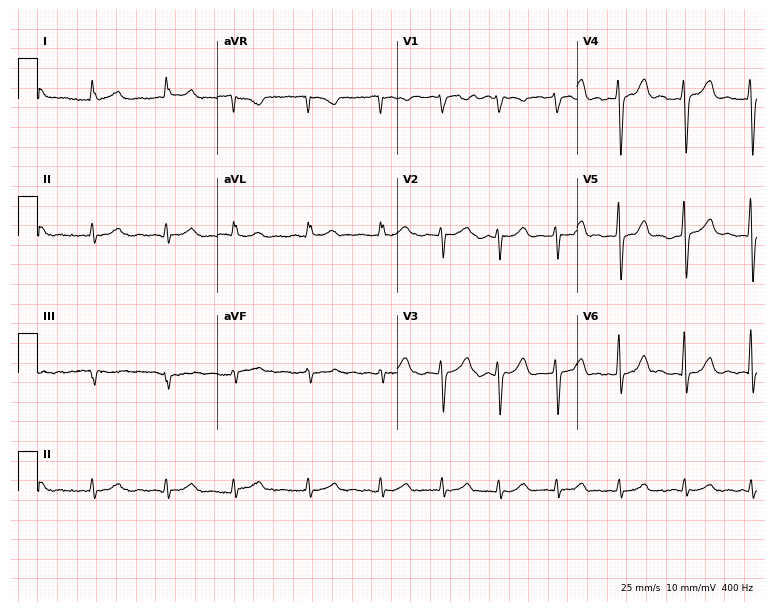
12-lead ECG (7.3-second recording at 400 Hz) from a 72-year-old male. Findings include atrial fibrillation.